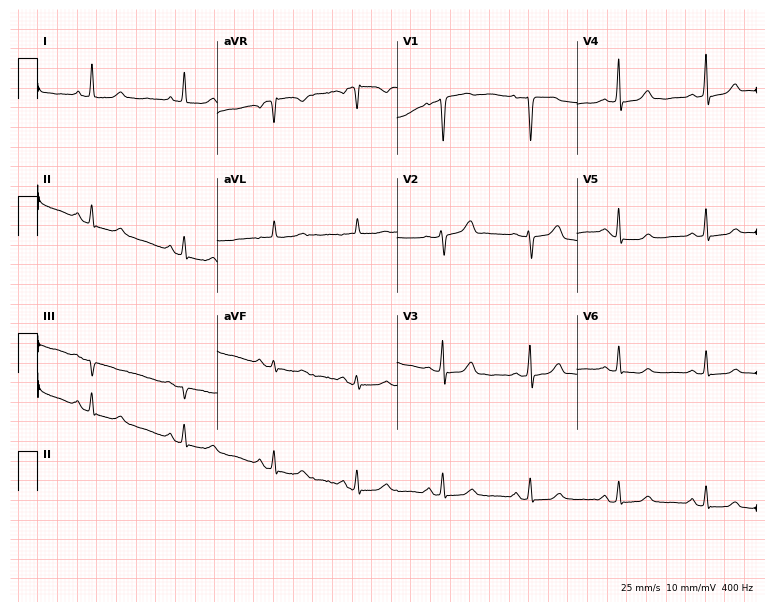
Resting 12-lead electrocardiogram. Patient: a 54-year-old woman. None of these six findings is recorded: first-degree AV block, right bundle branch block, left bundle branch block, sinus bradycardia, atrial fibrillation, sinus tachycardia.